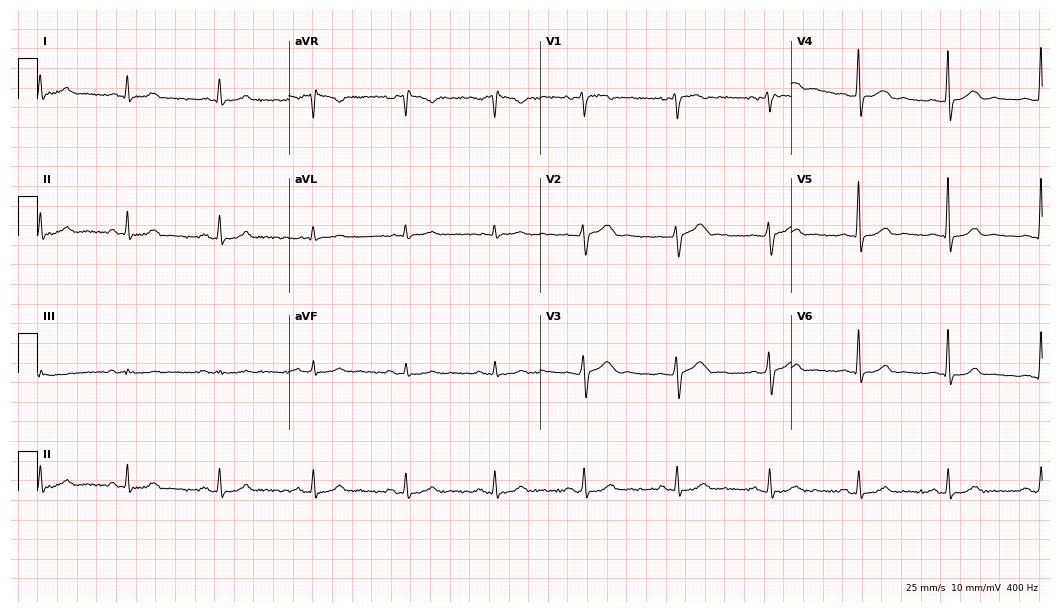
ECG — a female patient, 39 years old. Labelled as a normal ECG.